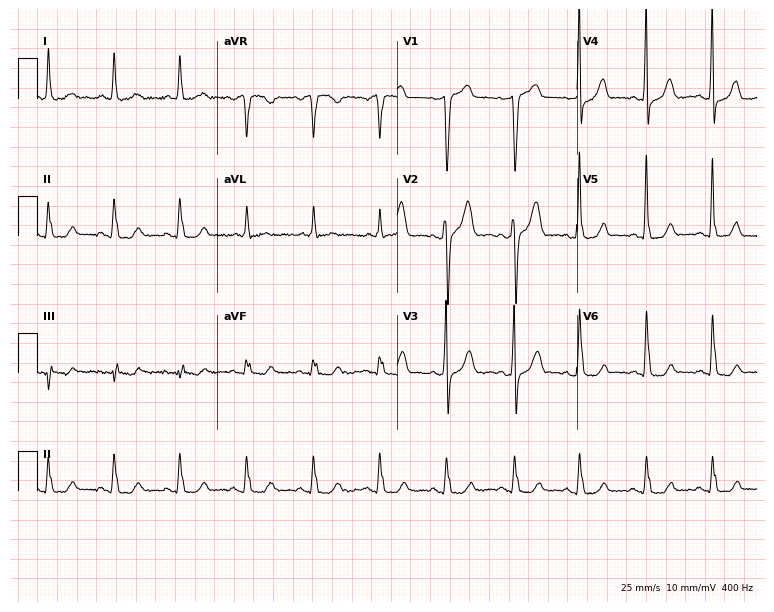
Electrocardiogram (7.3-second recording at 400 Hz), a male, 62 years old. Of the six screened findings (first-degree AV block, right bundle branch block, left bundle branch block, sinus bradycardia, atrial fibrillation, sinus tachycardia), none is recorded.